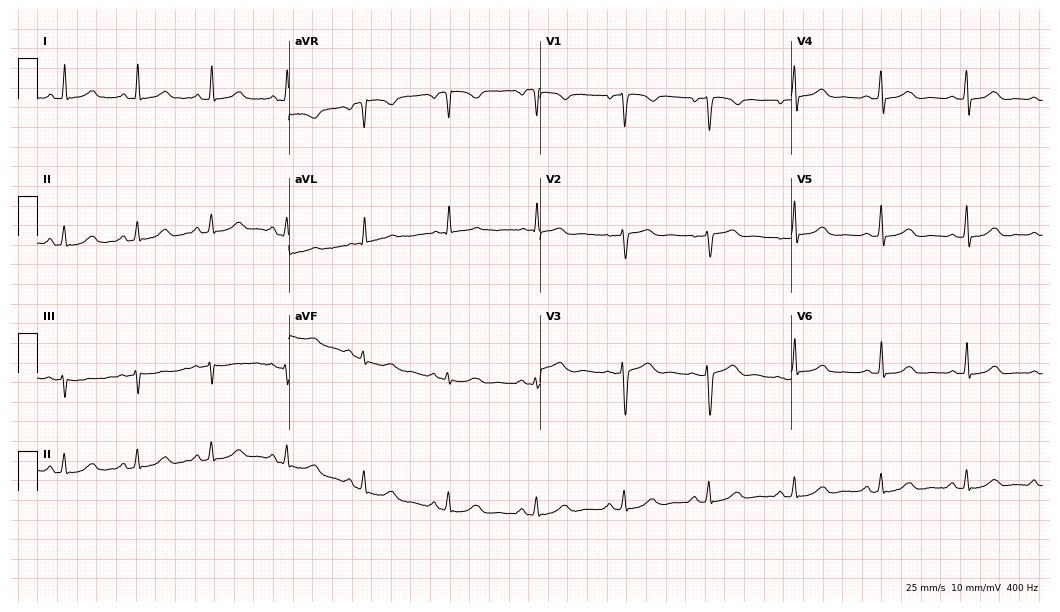
12-lead ECG from a 36-year-old female (10.2-second recording at 400 Hz). Recorded interpretation: within normal limits.